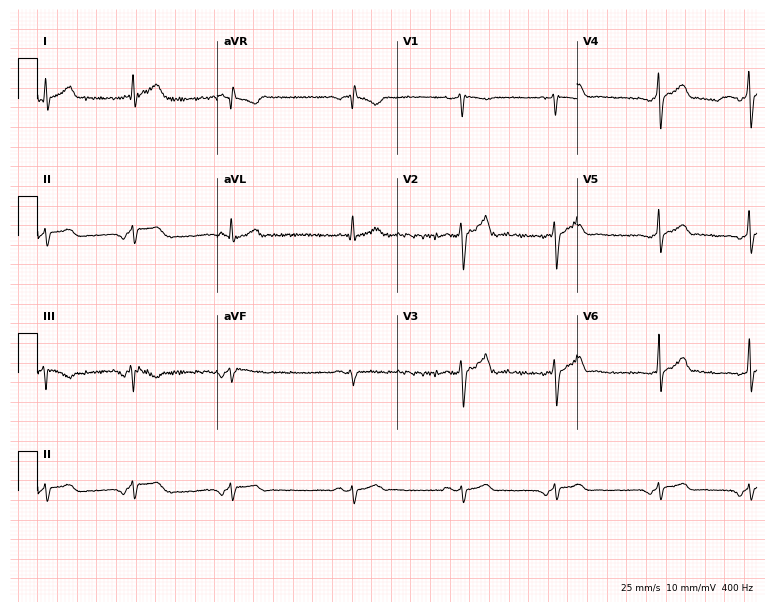
Electrocardiogram (7.3-second recording at 400 Hz), a 35-year-old male. Of the six screened findings (first-degree AV block, right bundle branch block, left bundle branch block, sinus bradycardia, atrial fibrillation, sinus tachycardia), none is recorded. Other findings, if any, are not listed.